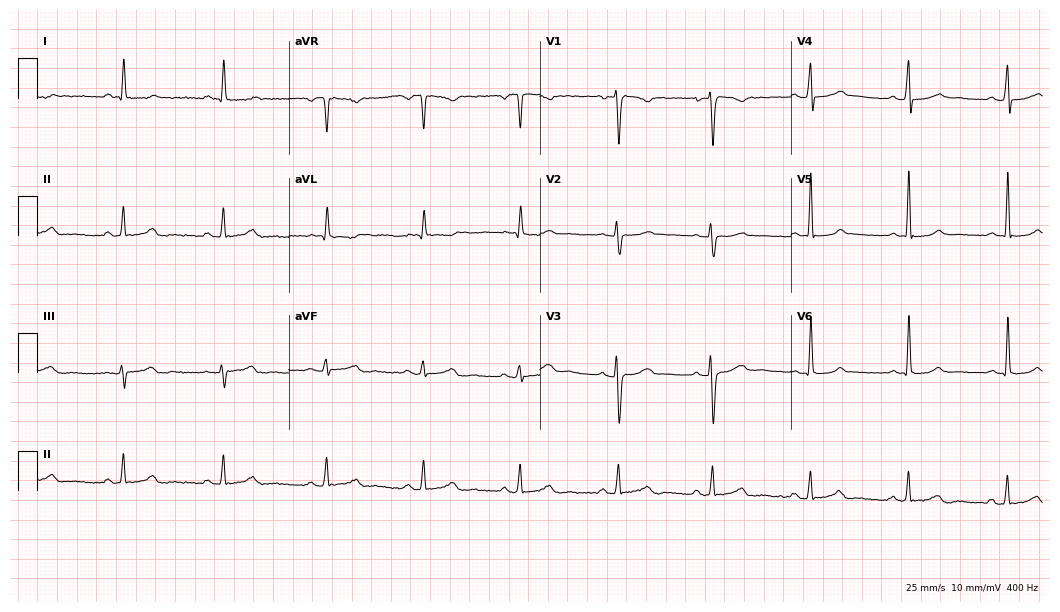
12-lead ECG (10.2-second recording at 400 Hz) from a 35-year-old female. Screened for six findings — first-degree AV block, right bundle branch block, left bundle branch block, sinus bradycardia, atrial fibrillation, sinus tachycardia — none is recorded. Only these six findings were labelled.